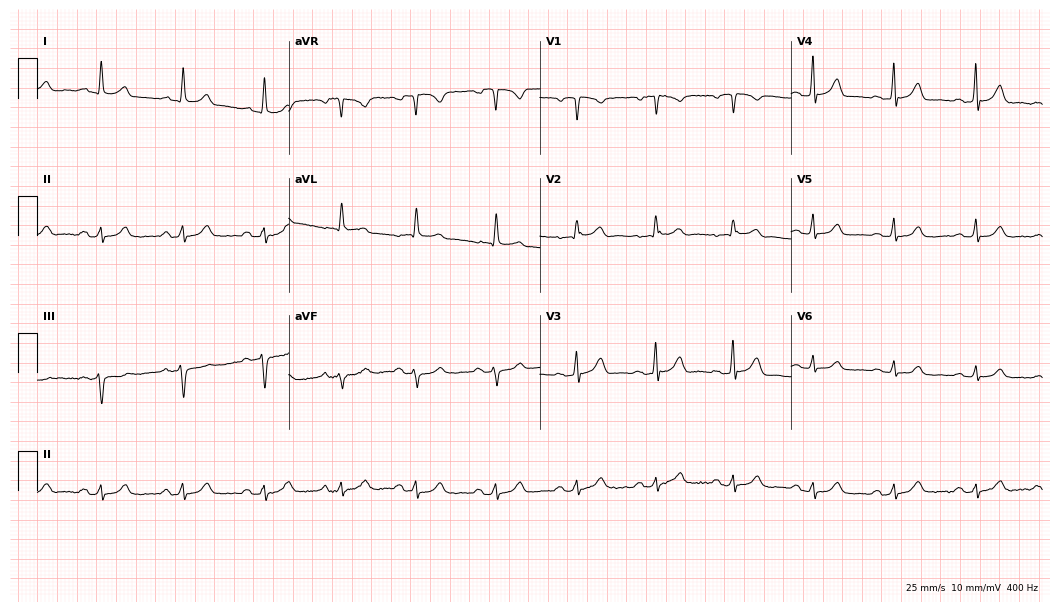
ECG — a male, 75 years old. Labelled as a normal ECG.